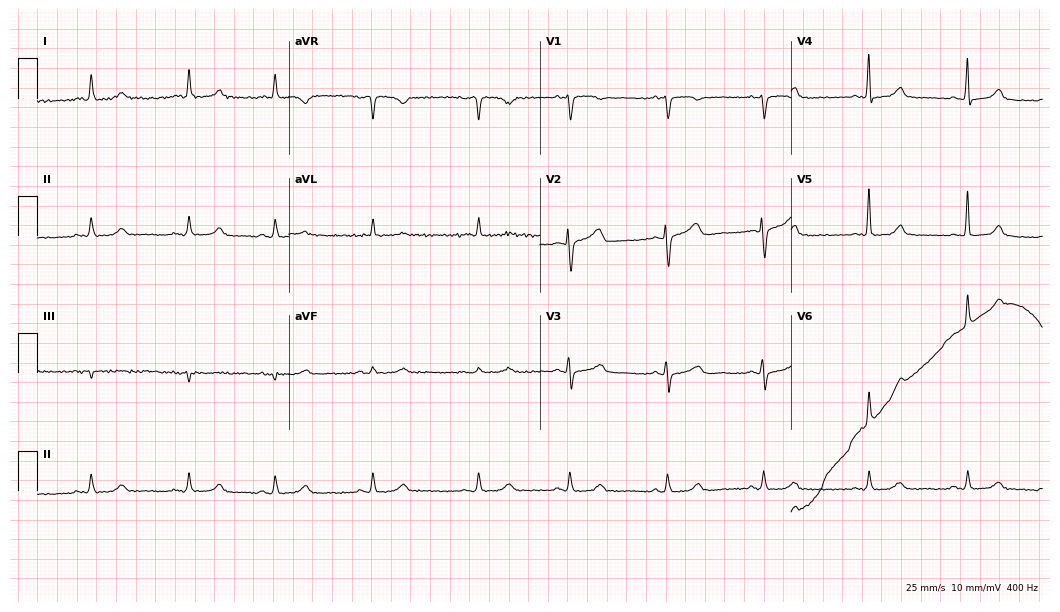
ECG (10.2-second recording at 400 Hz) — an 81-year-old female. Labelled as a normal ECG.